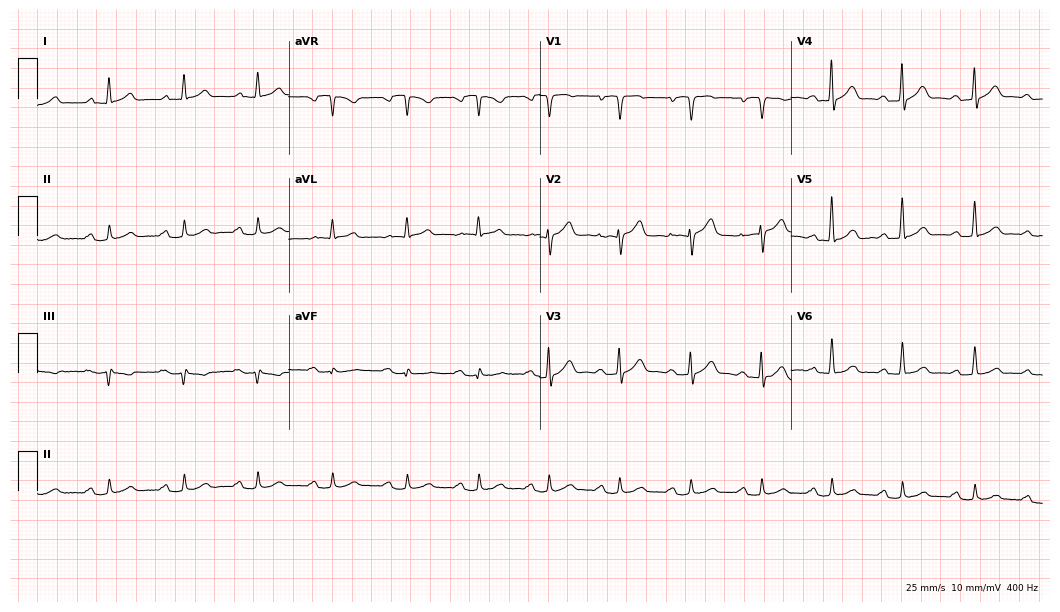
Electrocardiogram, a 64-year-old male. Of the six screened findings (first-degree AV block, right bundle branch block, left bundle branch block, sinus bradycardia, atrial fibrillation, sinus tachycardia), none is recorded.